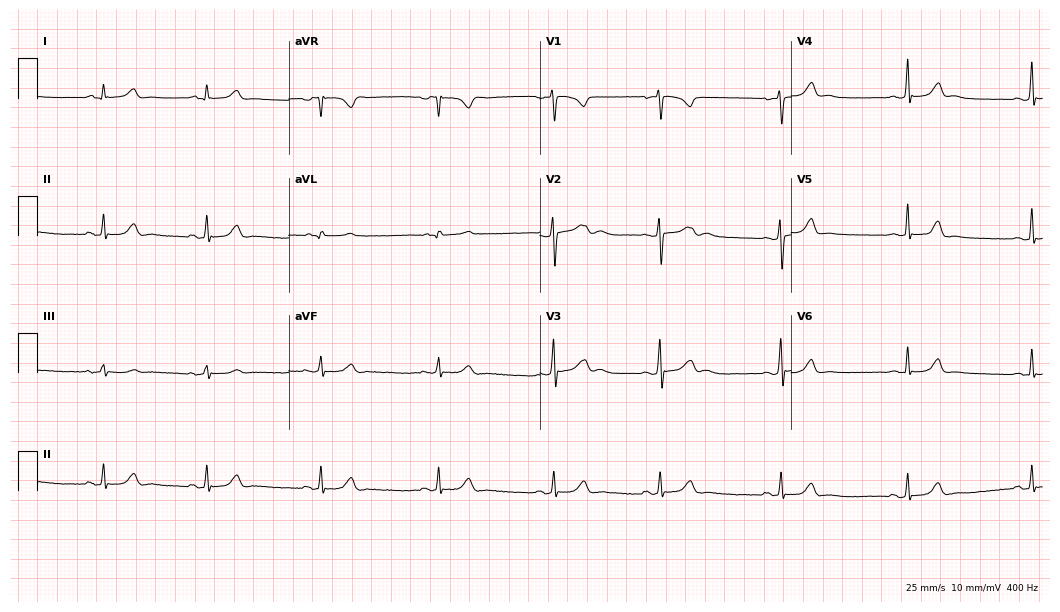
12-lead ECG from a female patient, 22 years old. Recorded interpretation: within normal limits.